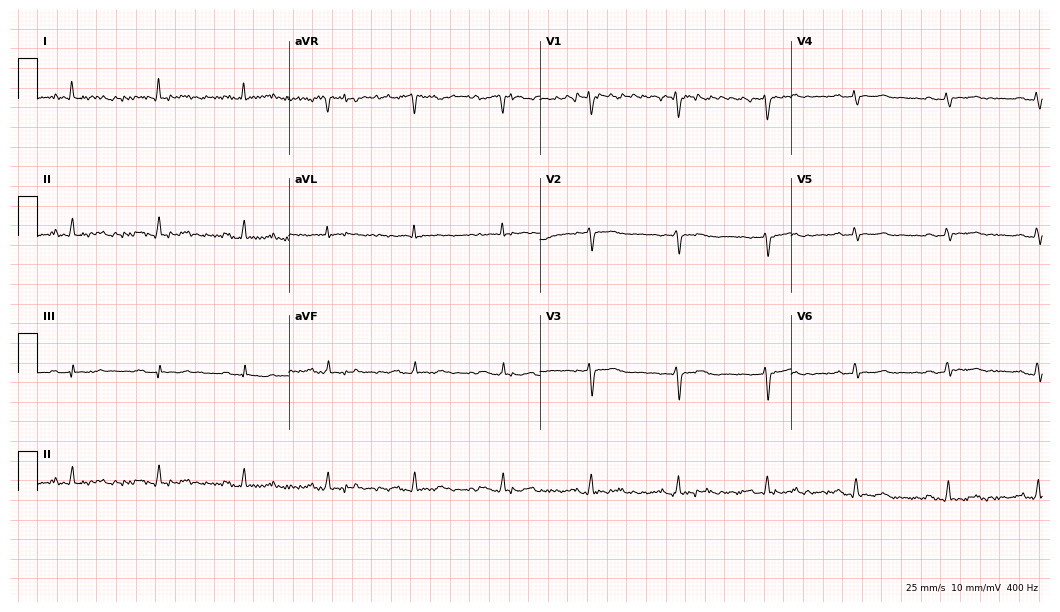
12-lead ECG from a 42-year-old female patient (10.2-second recording at 400 Hz). No first-degree AV block, right bundle branch block, left bundle branch block, sinus bradycardia, atrial fibrillation or sinus tachycardia recorded for this tracing. Findings outside these six are not listed.